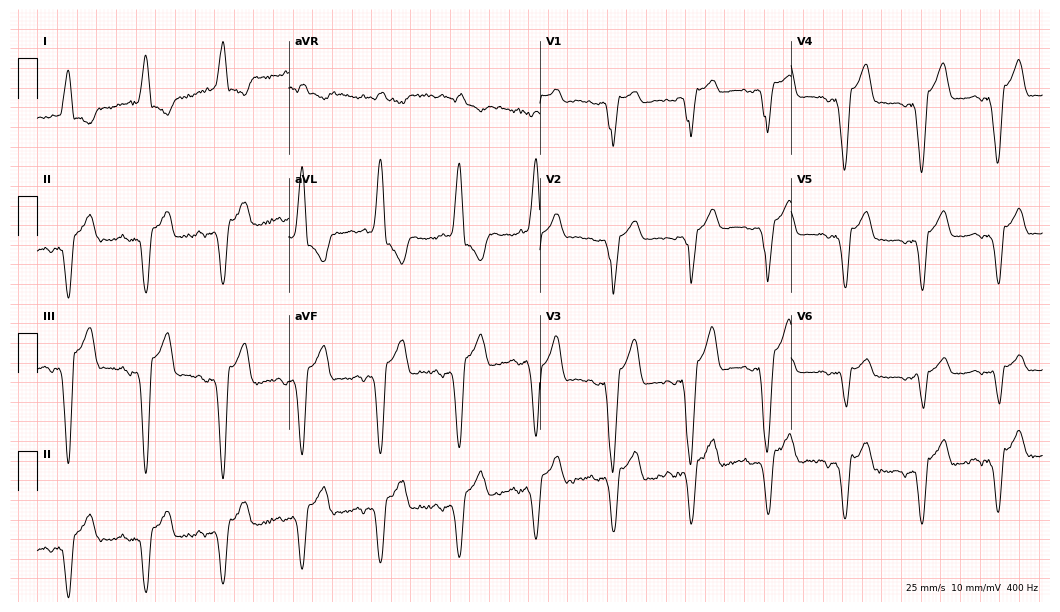
12-lead ECG (10.2-second recording at 400 Hz) from a female, 77 years old. Screened for six findings — first-degree AV block, right bundle branch block, left bundle branch block, sinus bradycardia, atrial fibrillation, sinus tachycardia — none is recorded. Findings outside these six are not listed.